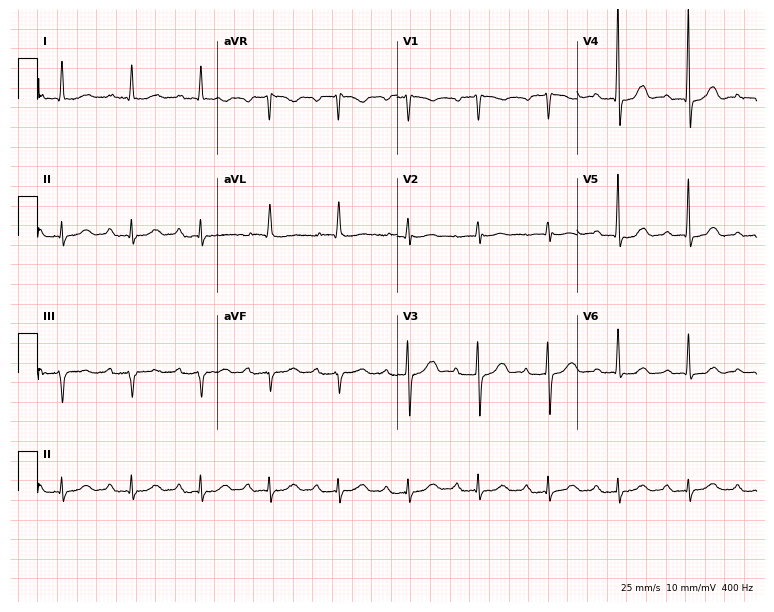
Standard 12-lead ECG recorded from a male patient, 73 years old. The tracing shows first-degree AV block.